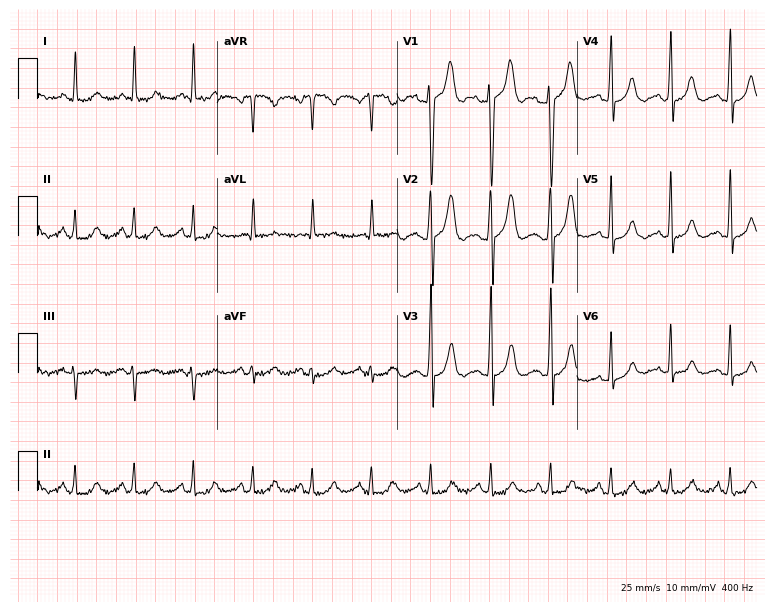
Standard 12-lead ECG recorded from a 71-year-old man. None of these six findings is recorded: first-degree AV block, right bundle branch block, left bundle branch block, sinus bradycardia, atrial fibrillation, sinus tachycardia. Only these six findings were labelled.